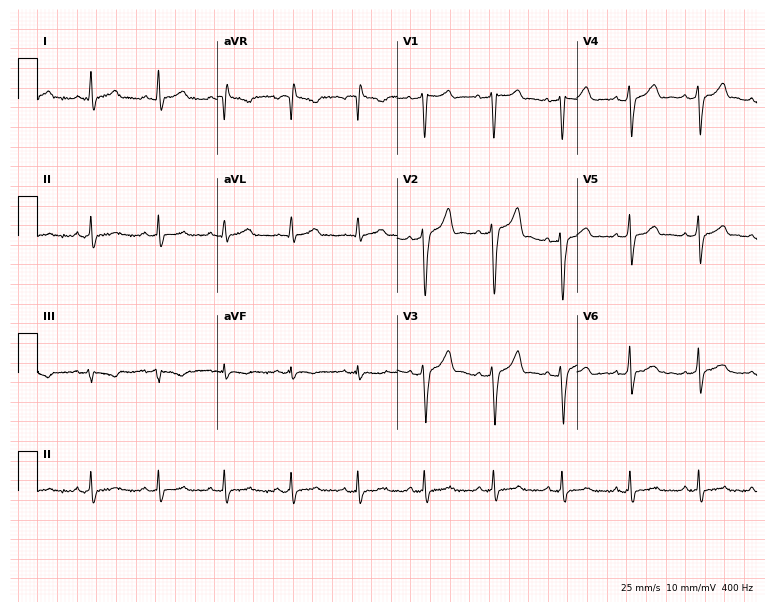
12-lead ECG from a male, 33 years old. Labelled as a normal ECG.